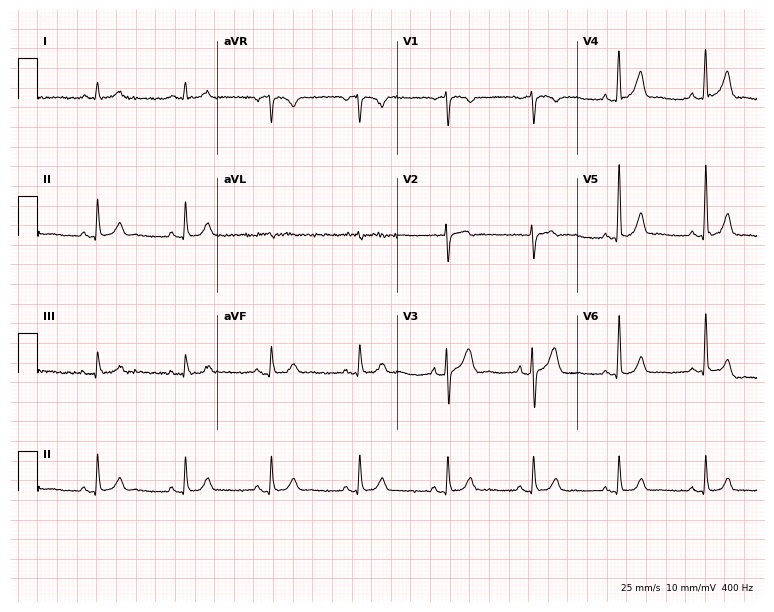
Resting 12-lead electrocardiogram (7.3-second recording at 400 Hz). Patient: a 69-year-old man. Read as a normal ECG.